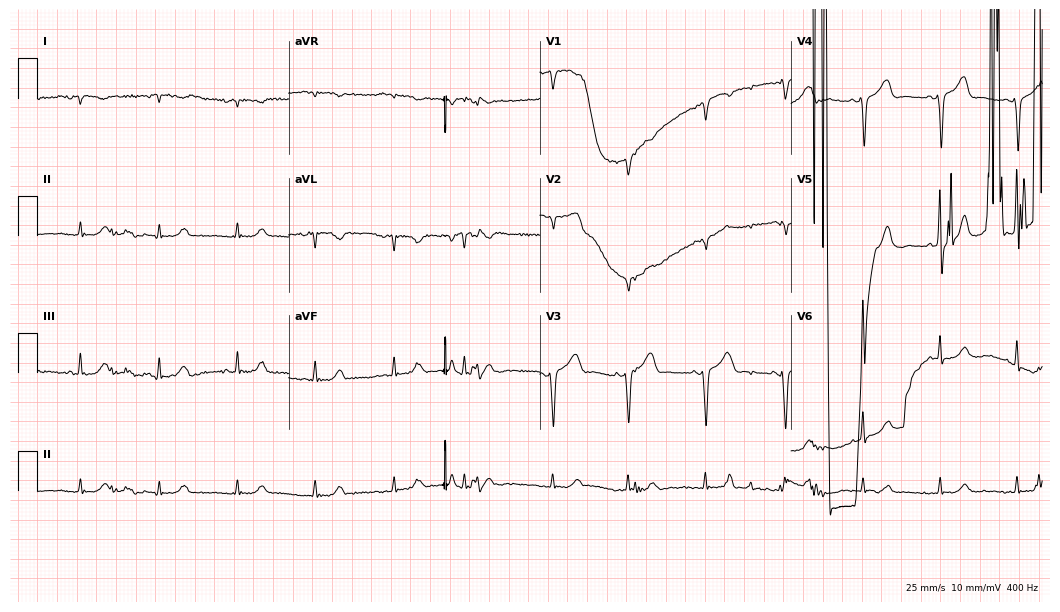
Resting 12-lead electrocardiogram (10.2-second recording at 400 Hz). Patient: a female, 69 years old. None of these six findings is recorded: first-degree AV block, right bundle branch block (RBBB), left bundle branch block (LBBB), sinus bradycardia, atrial fibrillation (AF), sinus tachycardia. Findings outside these six are not listed.